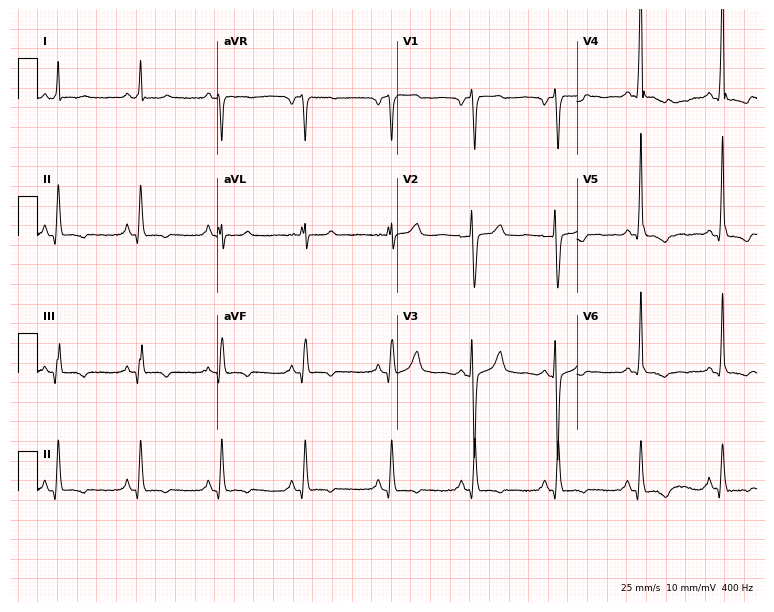
12-lead ECG (7.3-second recording at 400 Hz) from a 52-year-old female. Screened for six findings — first-degree AV block, right bundle branch block, left bundle branch block, sinus bradycardia, atrial fibrillation, sinus tachycardia — none is recorded. Findings outside these six are not listed.